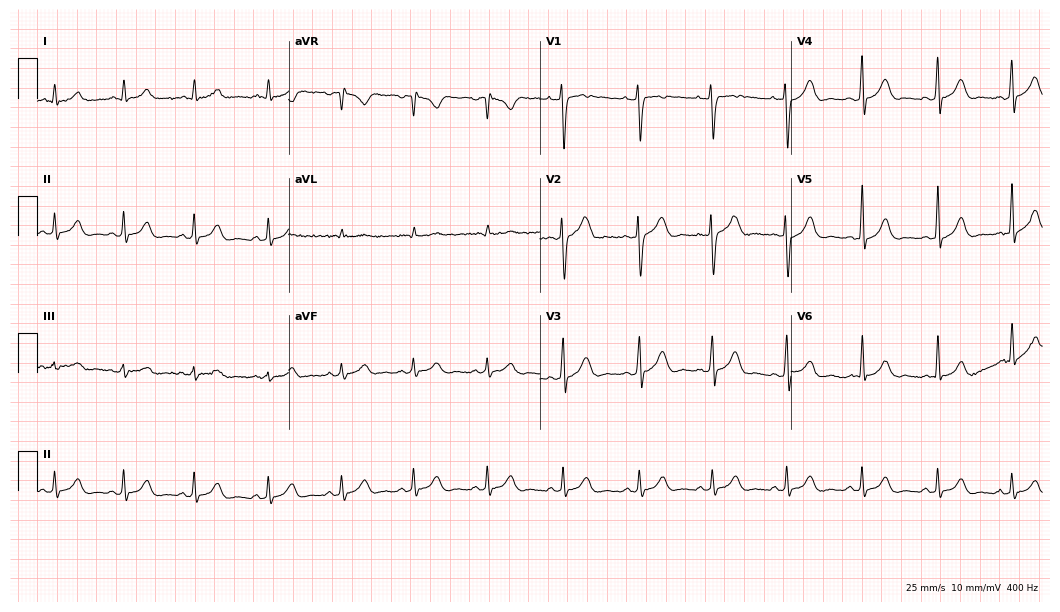
12-lead ECG from a 38-year-old man (10.2-second recording at 400 Hz). Recorded interpretation: within normal limits.